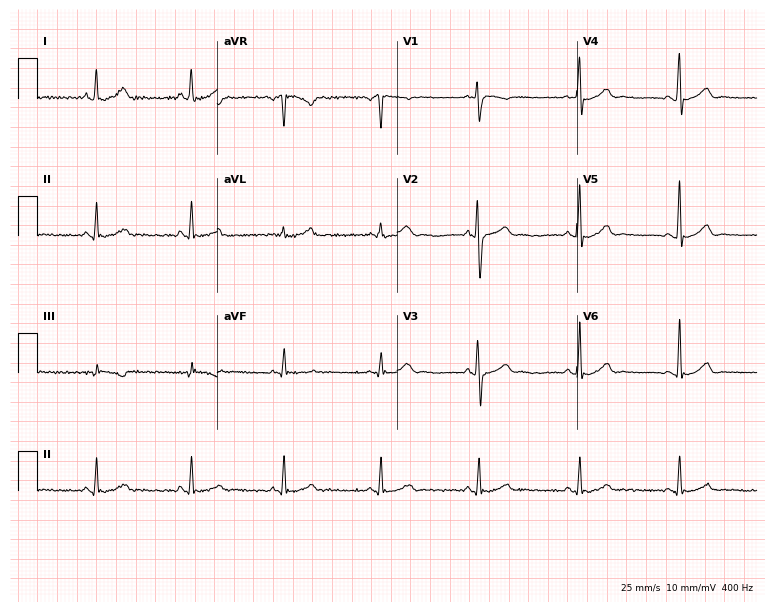
Standard 12-lead ECG recorded from a 41-year-old male patient (7.3-second recording at 400 Hz). Read as a normal ECG.